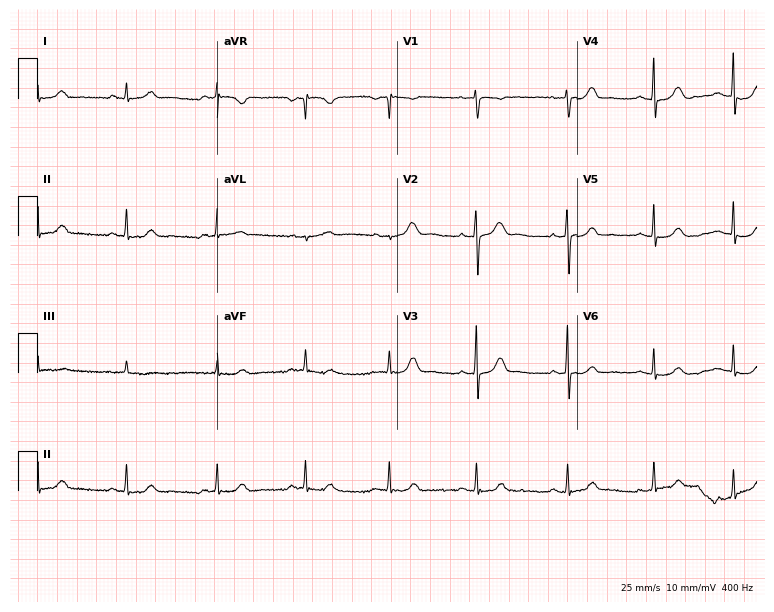
Standard 12-lead ECG recorded from a 37-year-old female patient. None of these six findings is recorded: first-degree AV block, right bundle branch block, left bundle branch block, sinus bradycardia, atrial fibrillation, sinus tachycardia.